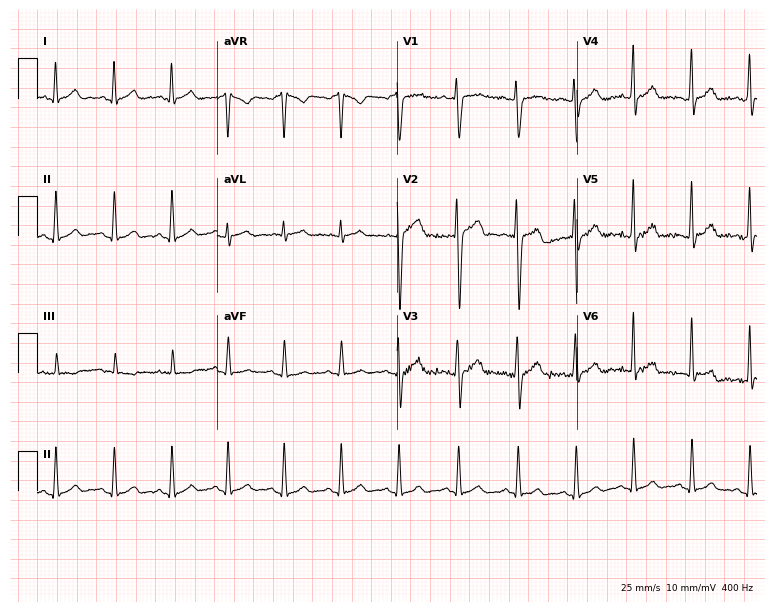
ECG (7.3-second recording at 400 Hz) — a male patient, 24 years old. Screened for six findings — first-degree AV block, right bundle branch block (RBBB), left bundle branch block (LBBB), sinus bradycardia, atrial fibrillation (AF), sinus tachycardia — none is recorded.